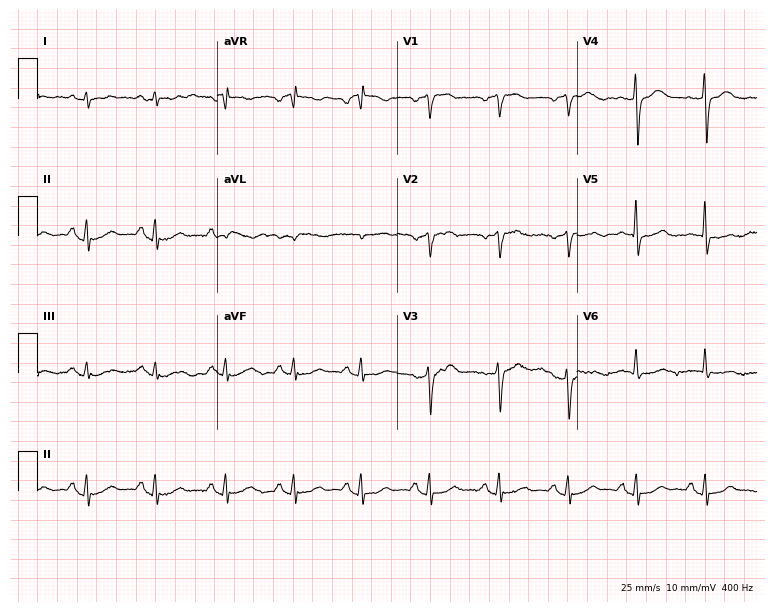
Standard 12-lead ECG recorded from a male patient, 76 years old (7.3-second recording at 400 Hz). Read as a normal ECG.